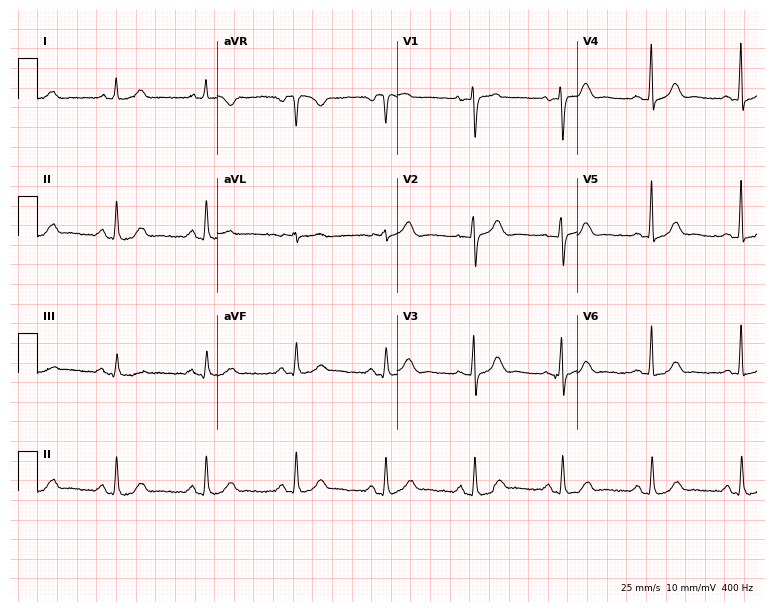
ECG (7.3-second recording at 400 Hz) — a 73-year-old female. Labelled as a normal ECG.